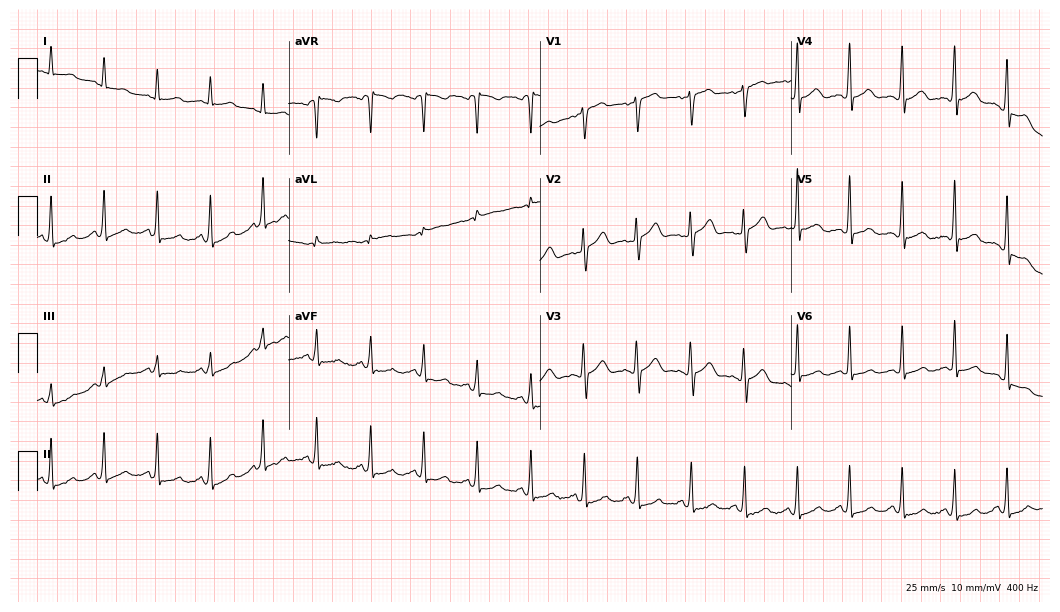
12-lead ECG from a female, 21 years old. No first-degree AV block, right bundle branch block (RBBB), left bundle branch block (LBBB), sinus bradycardia, atrial fibrillation (AF) or sinus tachycardia recorded for this tracing.